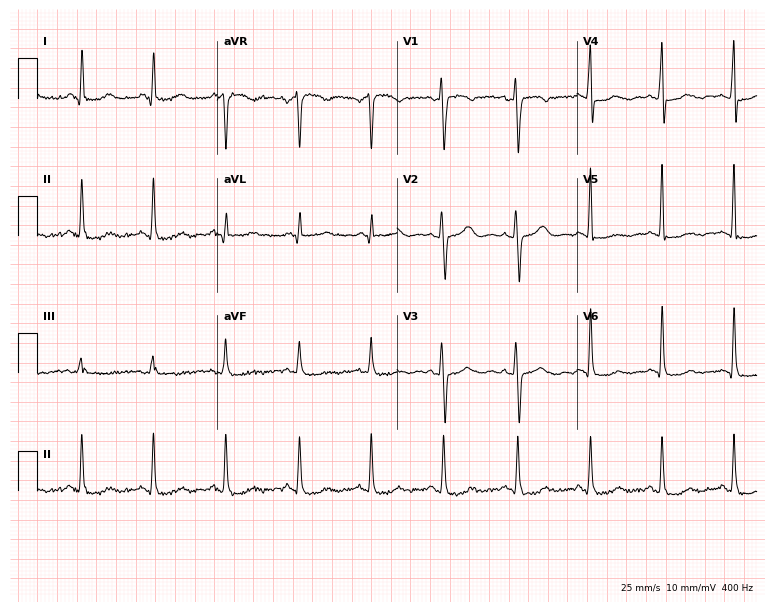
Standard 12-lead ECG recorded from a 48-year-old female patient. None of these six findings is recorded: first-degree AV block, right bundle branch block, left bundle branch block, sinus bradycardia, atrial fibrillation, sinus tachycardia.